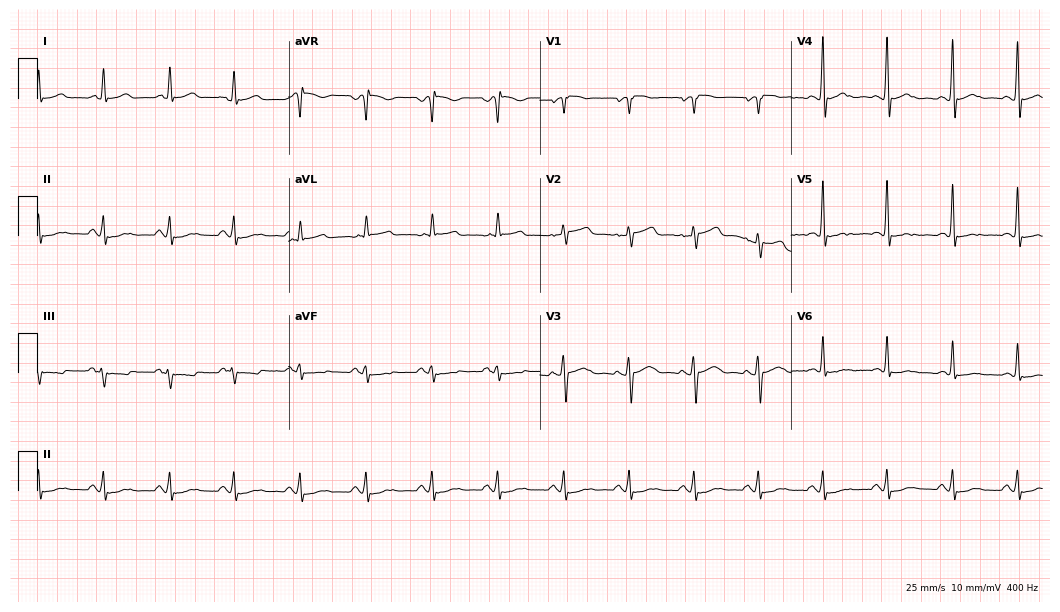
Resting 12-lead electrocardiogram. Patient: a 79-year-old male. Read as a normal ECG.